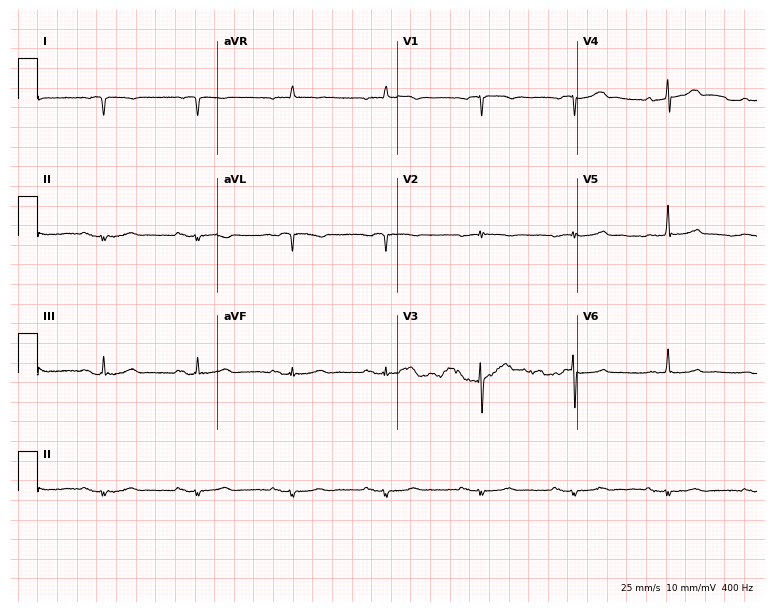
12-lead ECG (7.3-second recording at 400 Hz) from an 81-year-old man. Screened for six findings — first-degree AV block, right bundle branch block, left bundle branch block, sinus bradycardia, atrial fibrillation, sinus tachycardia — none is recorded. Only these six findings were labelled.